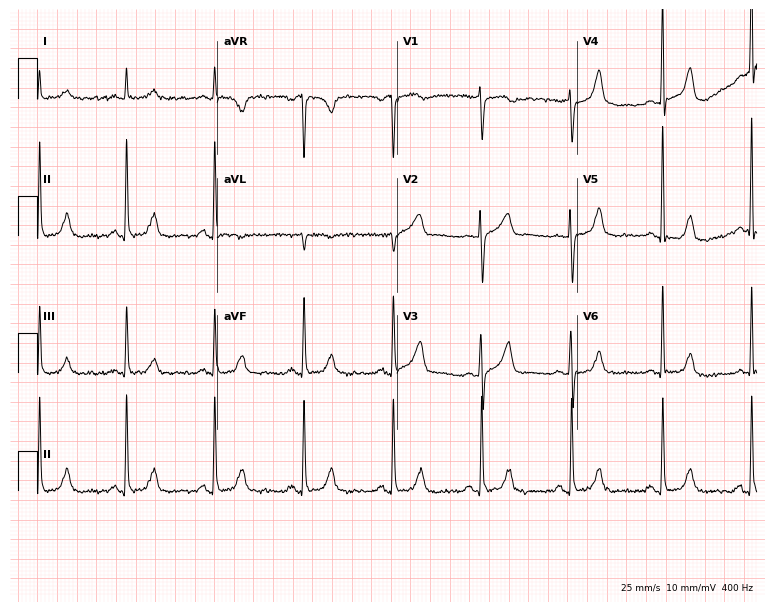
Standard 12-lead ECG recorded from a female patient, 64 years old. None of these six findings is recorded: first-degree AV block, right bundle branch block, left bundle branch block, sinus bradycardia, atrial fibrillation, sinus tachycardia. Other findings, if any, are not listed.